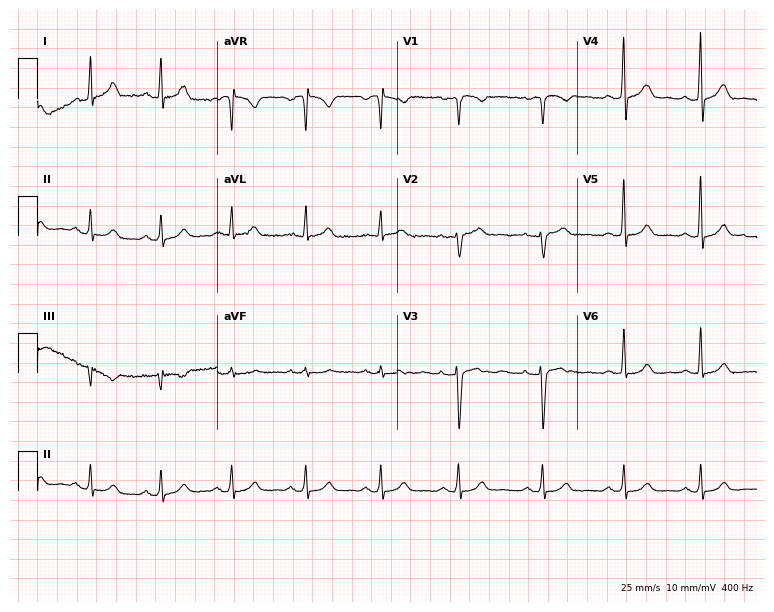
Resting 12-lead electrocardiogram (7.3-second recording at 400 Hz). Patient: a 33-year-old female. Read as a normal ECG.